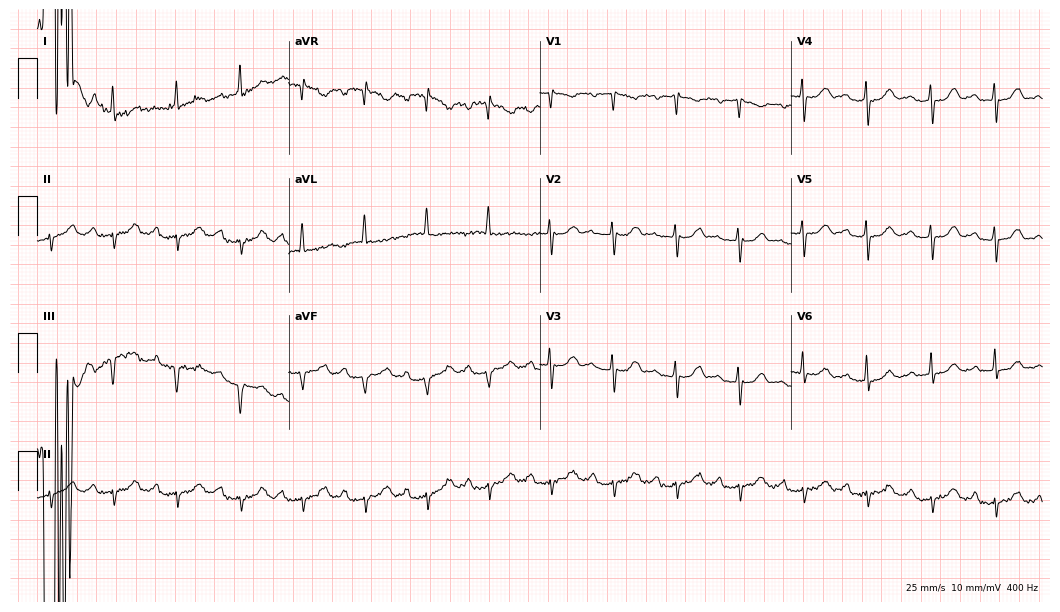
12-lead ECG from a female patient, 82 years old (10.2-second recording at 400 Hz). Shows first-degree AV block.